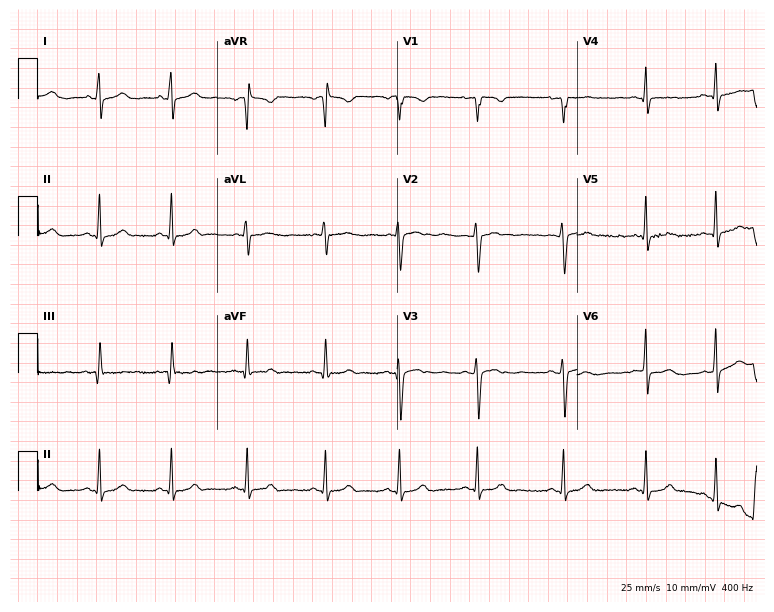
Resting 12-lead electrocardiogram (7.3-second recording at 400 Hz). Patient: an 18-year-old woman. Read as a normal ECG.